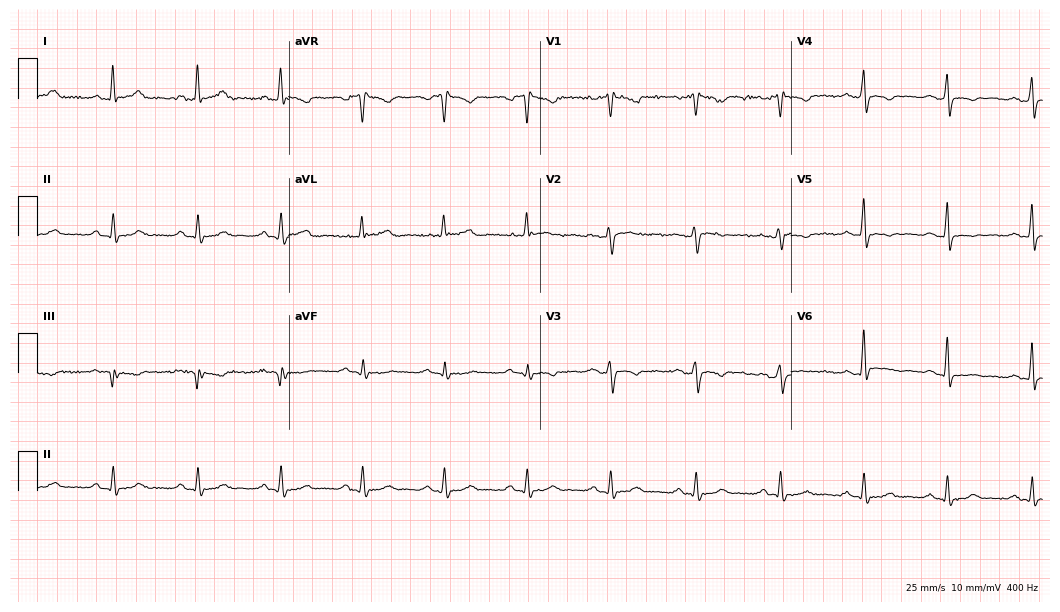
Resting 12-lead electrocardiogram (10.2-second recording at 400 Hz). Patient: a male, 38 years old. None of these six findings is recorded: first-degree AV block, right bundle branch block, left bundle branch block, sinus bradycardia, atrial fibrillation, sinus tachycardia. Findings outside these six are not listed.